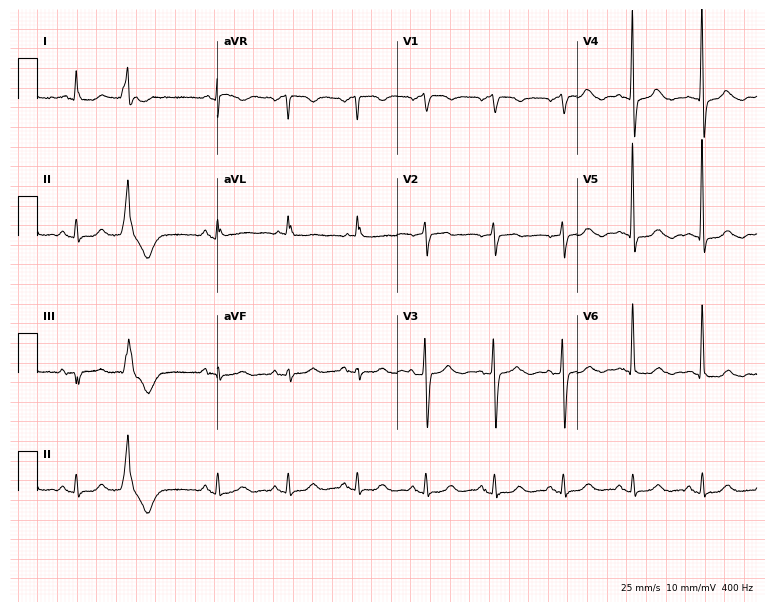
Standard 12-lead ECG recorded from an 85-year-old woman. Read as a normal ECG.